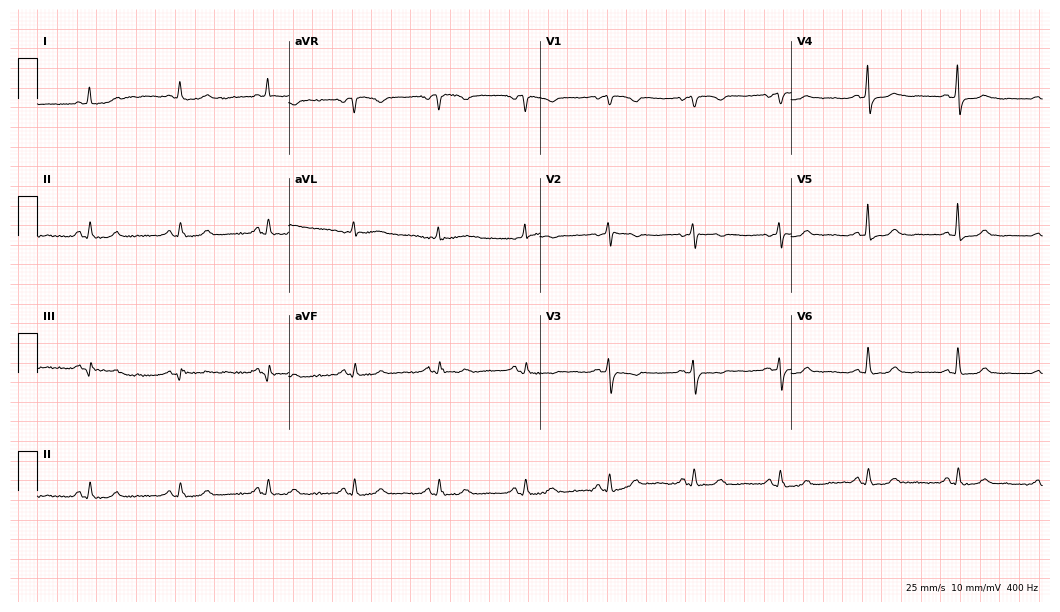
12-lead ECG (10.2-second recording at 400 Hz) from a 73-year-old female. Screened for six findings — first-degree AV block, right bundle branch block, left bundle branch block, sinus bradycardia, atrial fibrillation, sinus tachycardia — none is recorded. Only these six findings were labelled.